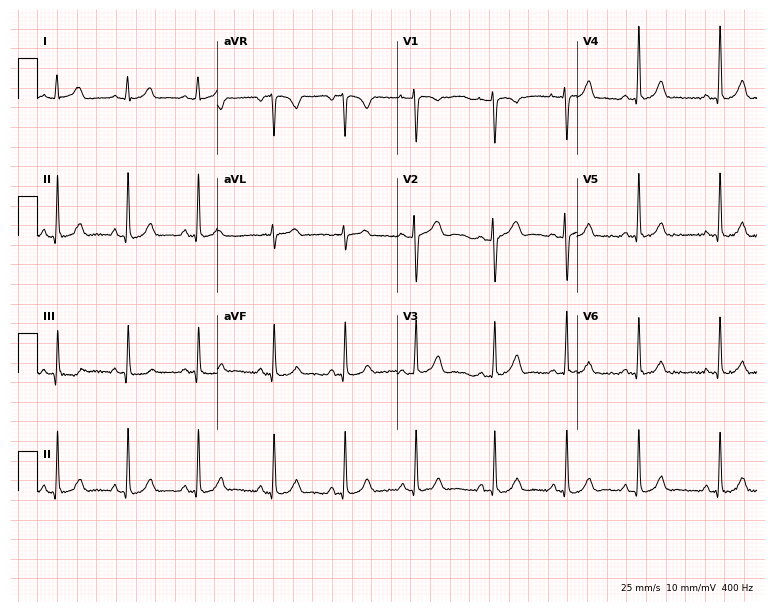
Electrocardiogram (7.3-second recording at 400 Hz), a woman, 17 years old. Overall reading on record: normal ECG.